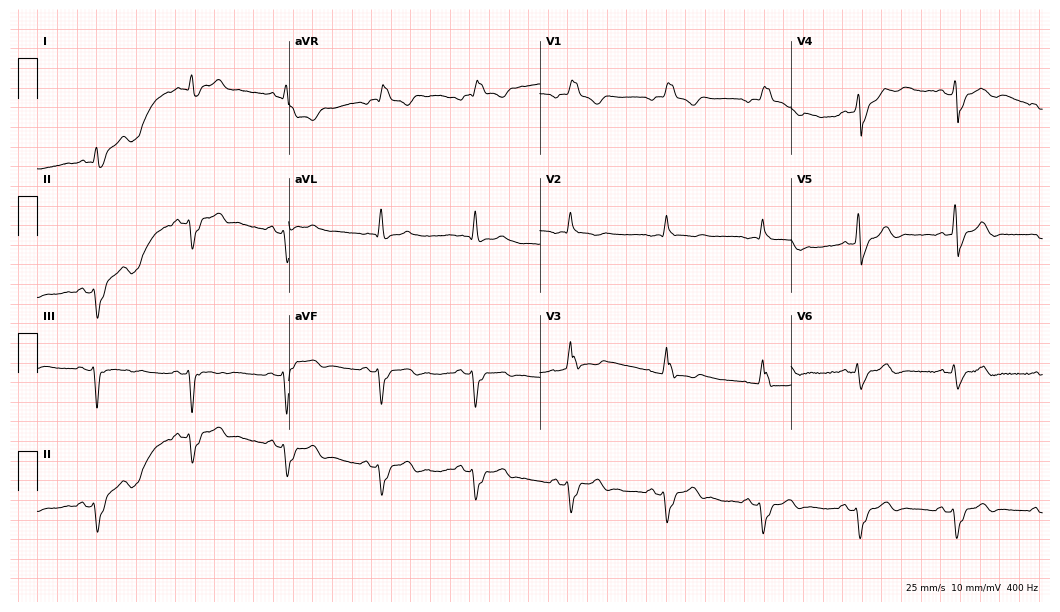
12-lead ECG from a 65-year-old man. Findings include right bundle branch block (RBBB), left bundle branch block (LBBB).